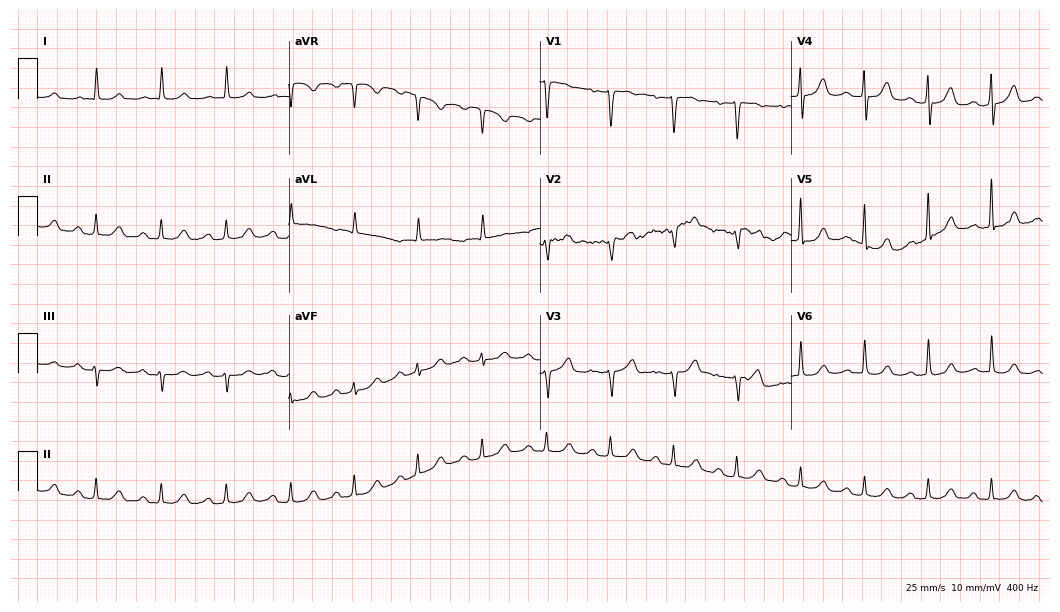
ECG — a female, 87 years old. Screened for six findings — first-degree AV block, right bundle branch block, left bundle branch block, sinus bradycardia, atrial fibrillation, sinus tachycardia — none is recorded. Findings outside these six are not listed.